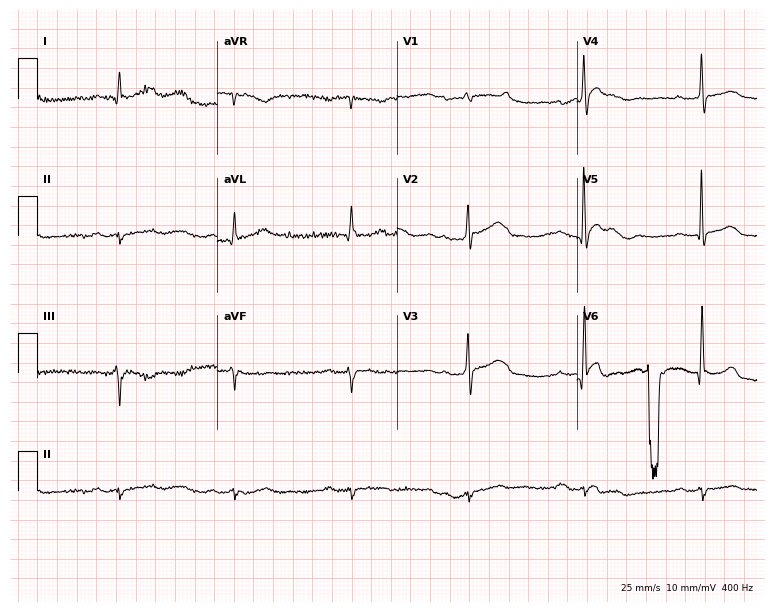
12-lead ECG from an 82-year-old male (7.3-second recording at 400 Hz). Shows first-degree AV block.